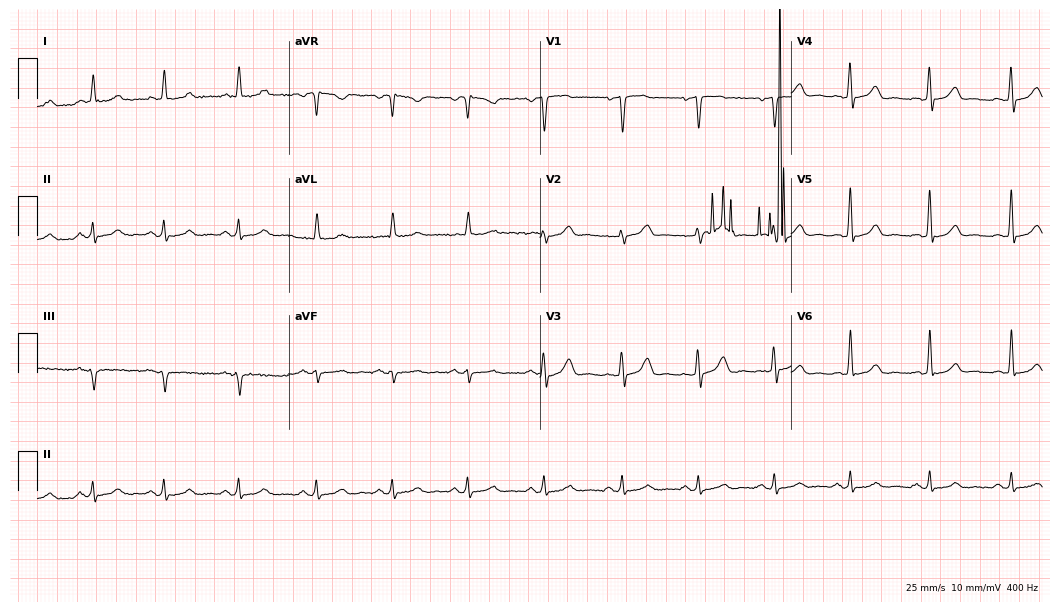
ECG — a 46-year-old male patient. Labelled as a normal ECG.